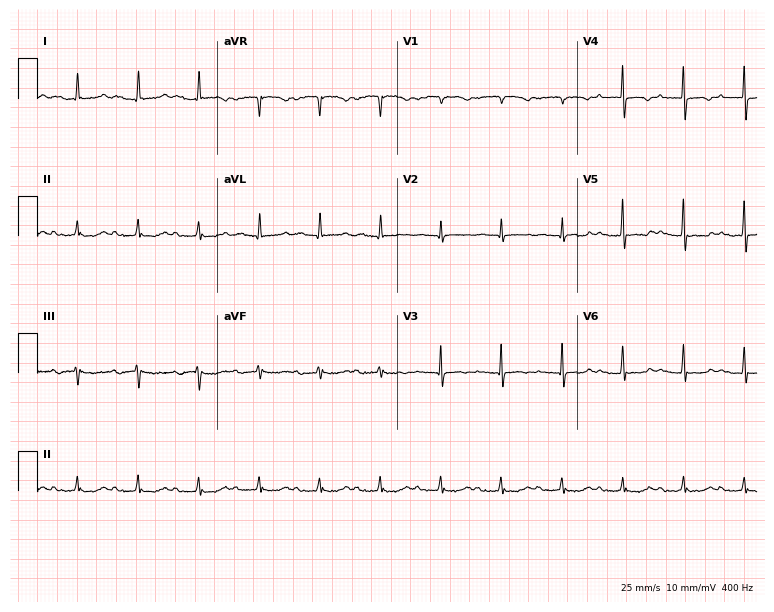
12-lead ECG from a 79-year-old female (7.3-second recording at 400 Hz). No first-degree AV block, right bundle branch block, left bundle branch block, sinus bradycardia, atrial fibrillation or sinus tachycardia recorded for this tracing. Findings outside these six are not listed.